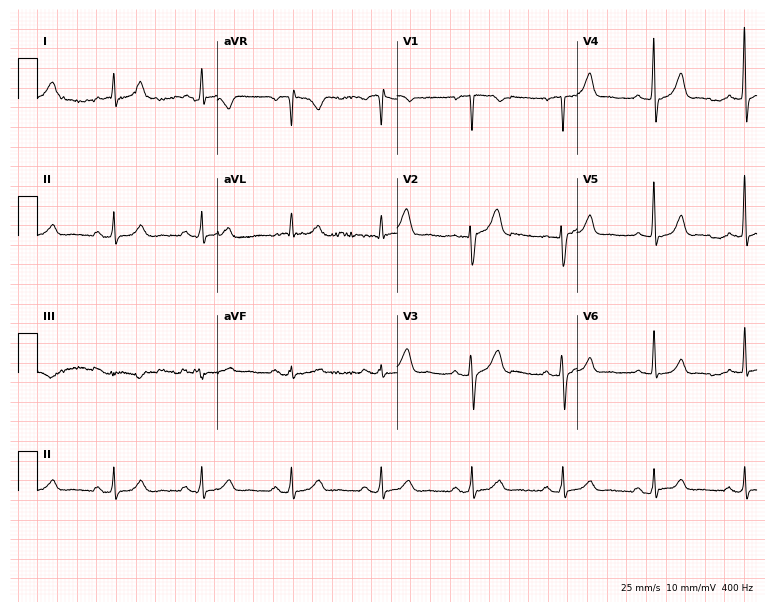
Electrocardiogram, a 60-year-old man. Overall reading on record: normal ECG.